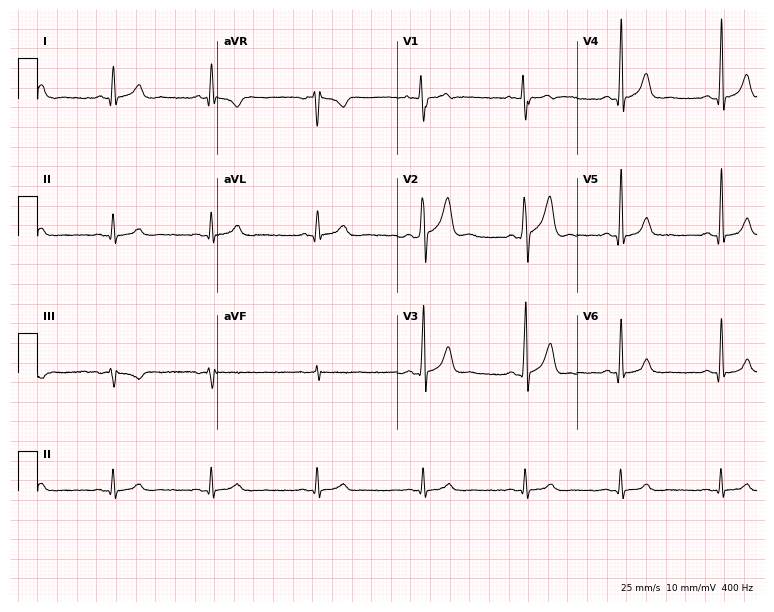
Resting 12-lead electrocardiogram. Patient: a man, 27 years old. Read as a normal ECG.